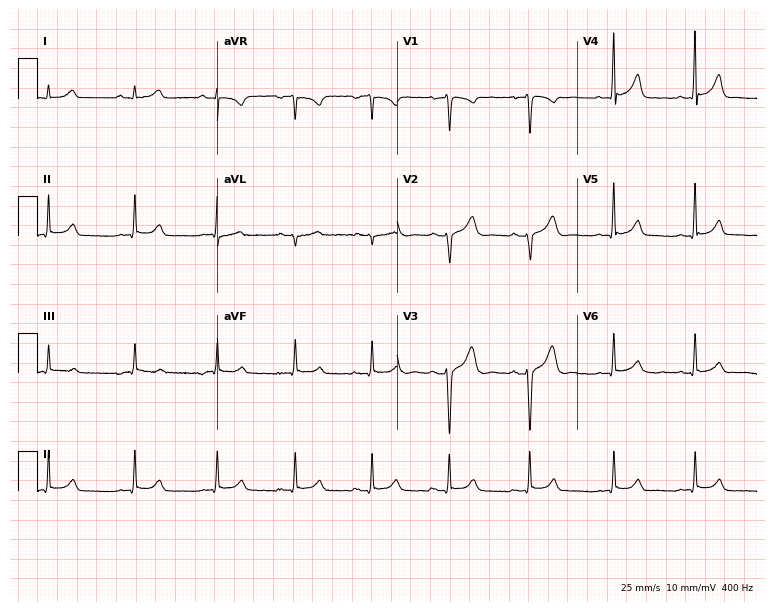
Standard 12-lead ECG recorded from a 26-year-old male (7.3-second recording at 400 Hz). None of these six findings is recorded: first-degree AV block, right bundle branch block (RBBB), left bundle branch block (LBBB), sinus bradycardia, atrial fibrillation (AF), sinus tachycardia. Other findings, if any, are not listed.